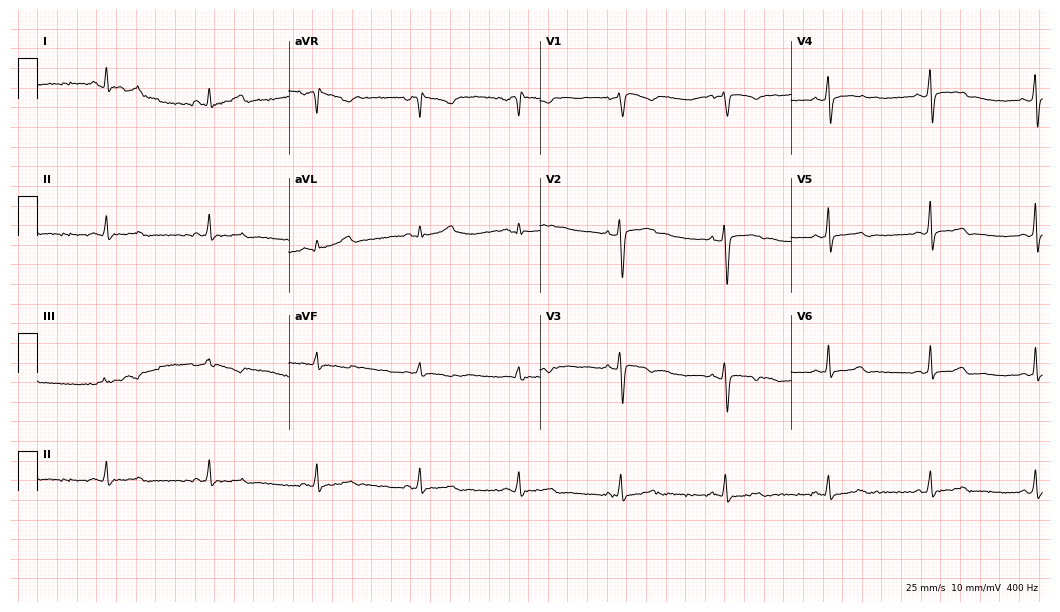
Electrocardiogram (10.2-second recording at 400 Hz), a 52-year-old female. Of the six screened findings (first-degree AV block, right bundle branch block, left bundle branch block, sinus bradycardia, atrial fibrillation, sinus tachycardia), none is recorded. Only these six findings were labelled.